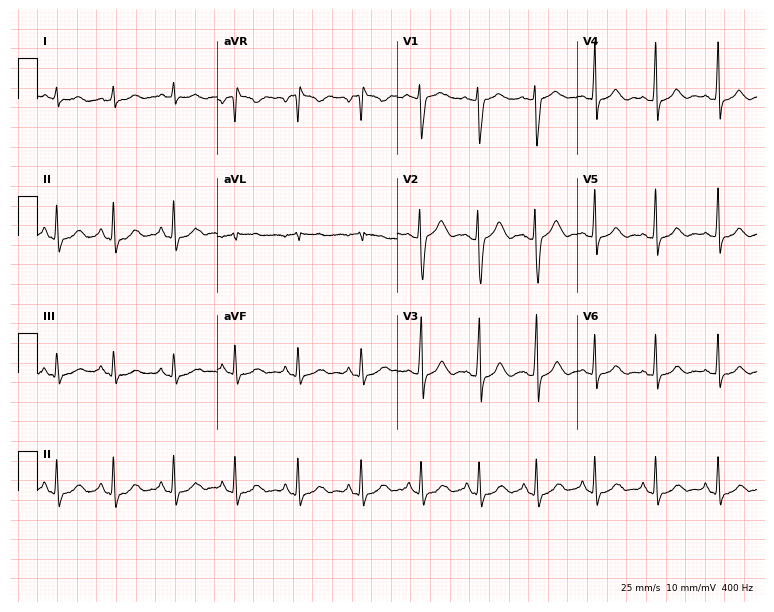
Electrocardiogram, a 35-year-old female. Overall reading on record: normal ECG.